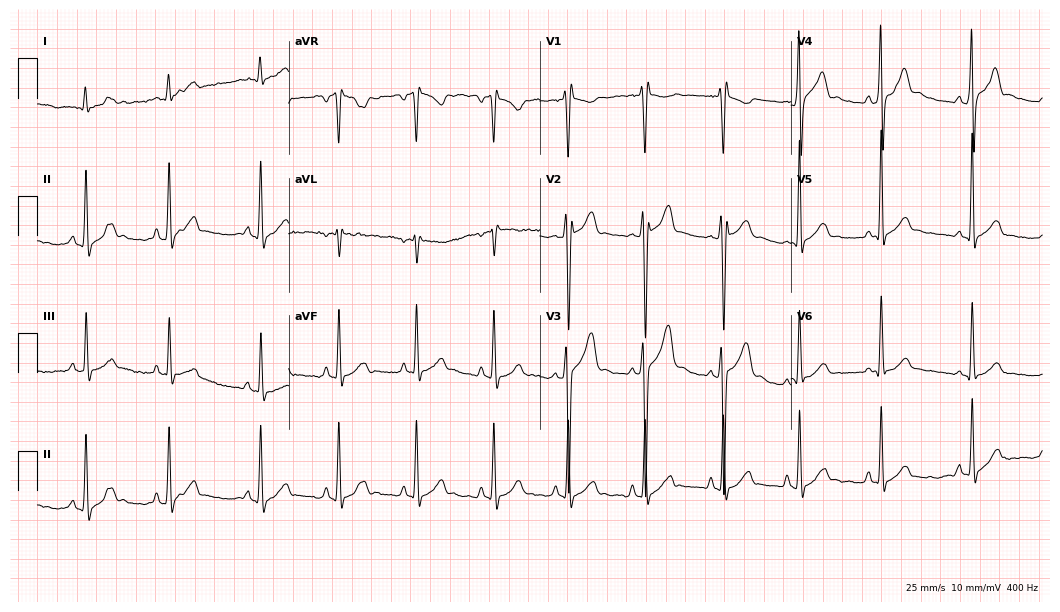
12-lead ECG from a male patient, 20 years old. No first-degree AV block, right bundle branch block, left bundle branch block, sinus bradycardia, atrial fibrillation or sinus tachycardia recorded for this tracing. Only these six findings were labelled.